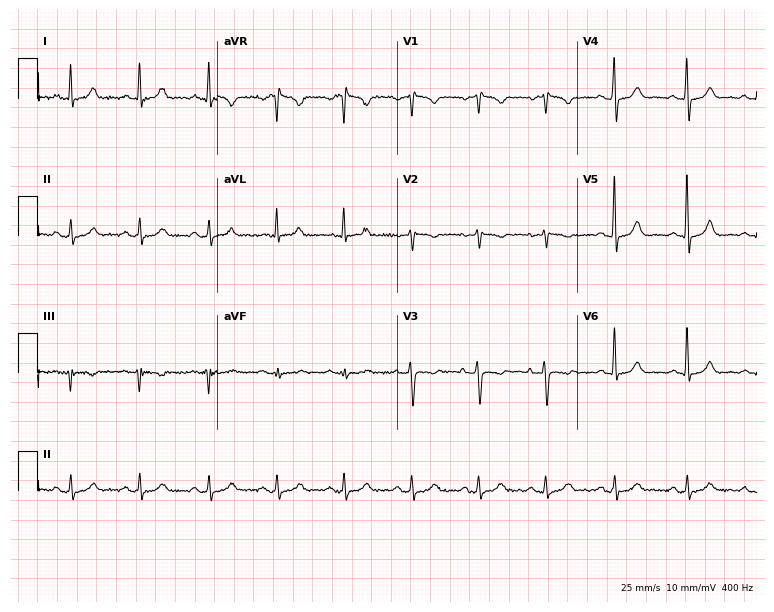
Electrocardiogram (7.3-second recording at 400 Hz), a 47-year-old female patient. Of the six screened findings (first-degree AV block, right bundle branch block, left bundle branch block, sinus bradycardia, atrial fibrillation, sinus tachycardia), none is recorded. Only these six findings were labelled.